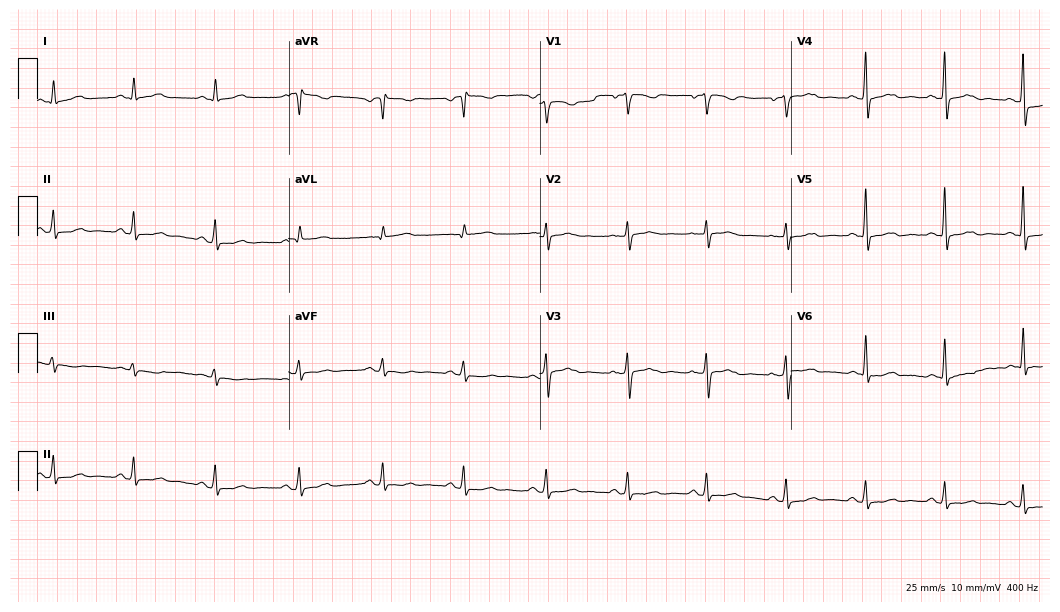
Standard 12-lead ECG recorded from a 55-year-old woman. Read as a normal ECG.